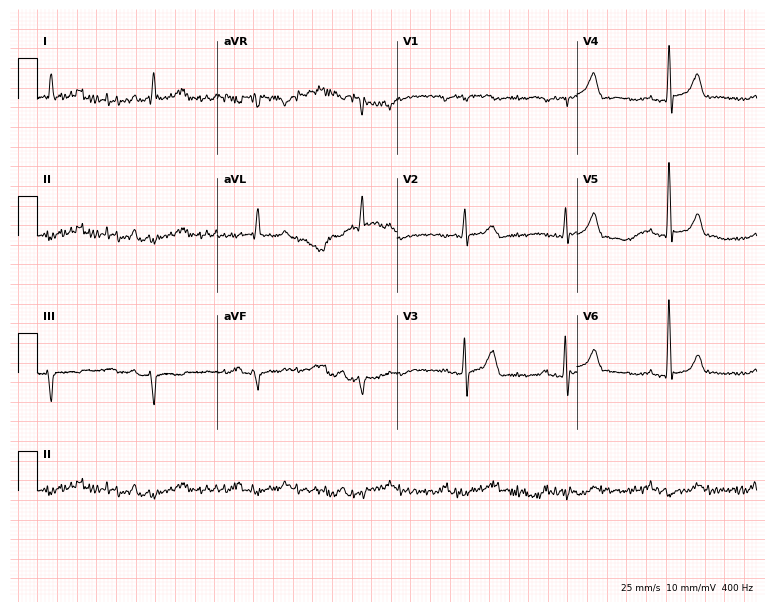
Electrocardiogram, a 75-year-old female. Of the six screened findings (first-degree AV block, right bundle branch block, left bundle branch block, sinus bradycardia, atrial fibrillation, sinus tachycardia), none is recorded. Only these six findings were labelled.